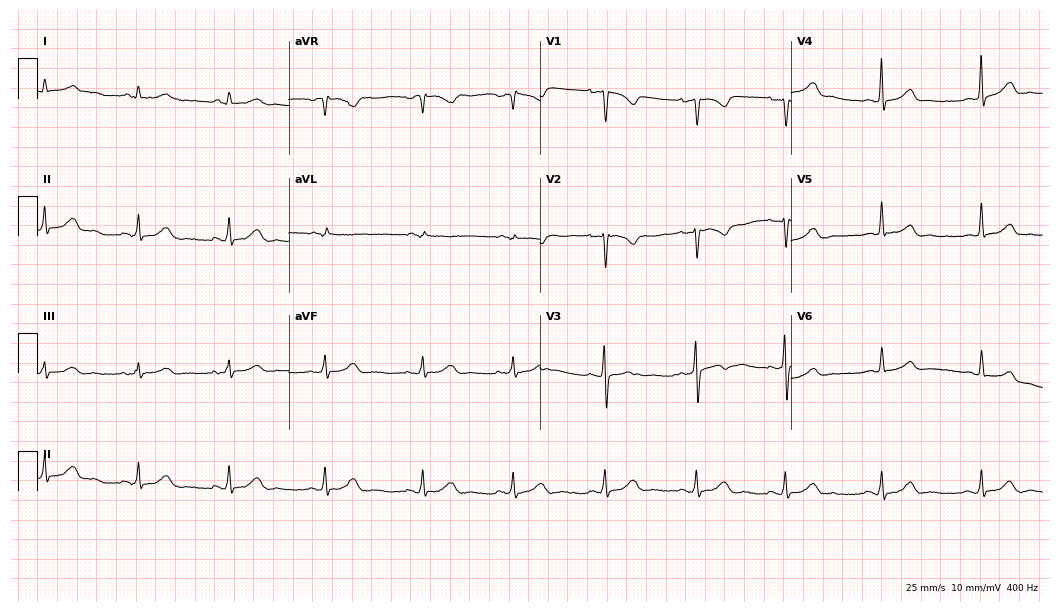
12-lead ECG from a woman, 29 years old. Screened for six findings — first-degree AV block, right bundle branch block (RBBB), left bundle branch block (LBBB), sinus bradycardia, atrial fibrillation (AF), sinus tachycardia — none is recorded. Other findings, if any, are not listed.